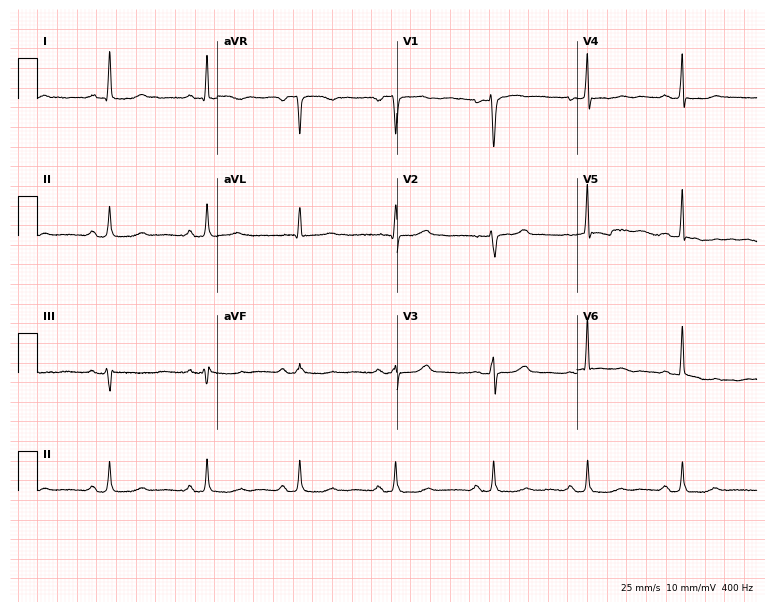
ECG (7.3-second recording at 400 Hz) — a woman, 56 years old. Screened for six findings — first-degree AV block, right bundle branch block, left bundle branch block, sinus bradycardia, atrial fibrillation, sinus tachycardia — none is recorded.